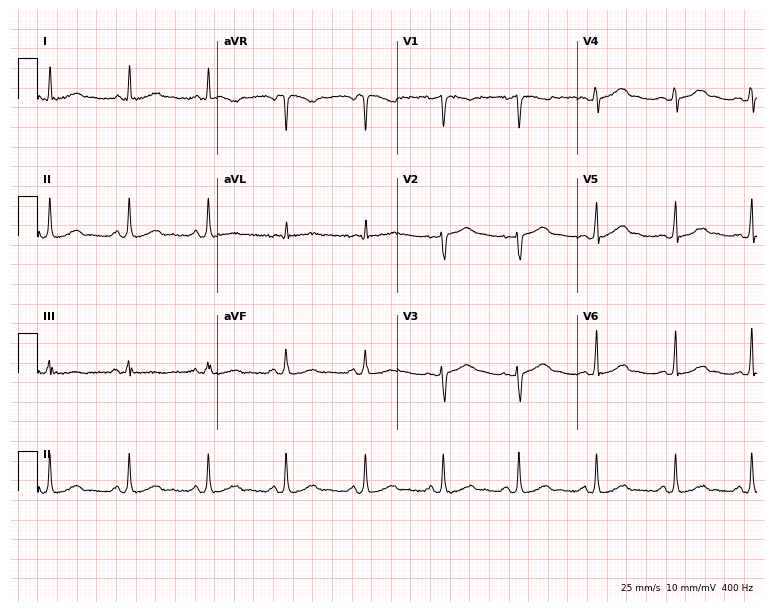
ECG — a woman, 38 years old. Screened for six findings — first-degree AV block, right bundle branch block (RBBB), left bundle branch block (LBBB), sinus bradycardia, atrial fibrillation (AF), sinus tachycardia — none is recorded. Other findings, if any, are not listed.